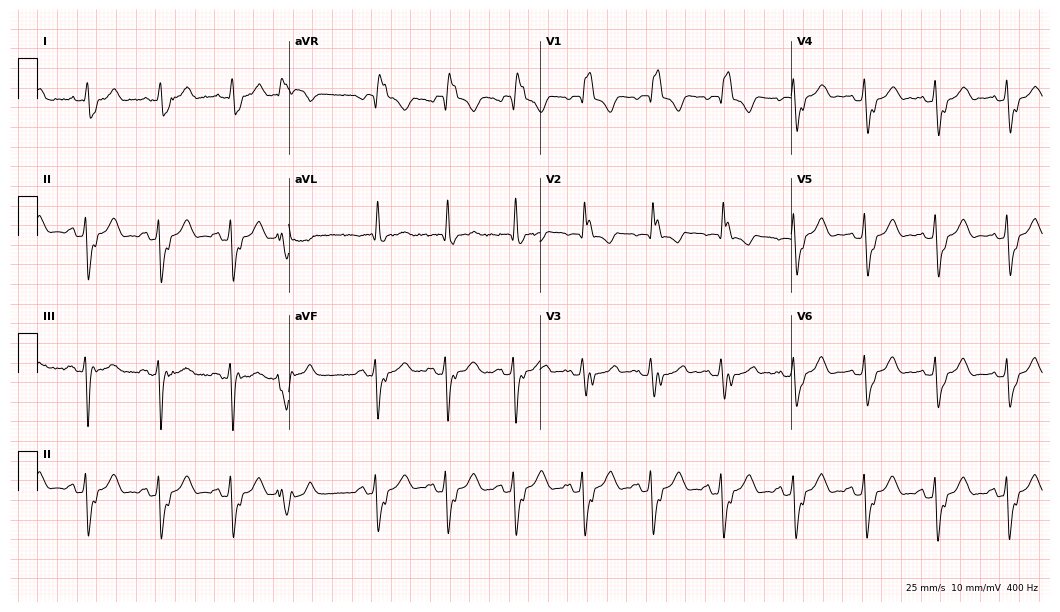
Resting 12-lead electrocardiogram (10.2-second recording at 400 Hz). Patient: an 82-year-old female. The tracing shows right bundle branch block.